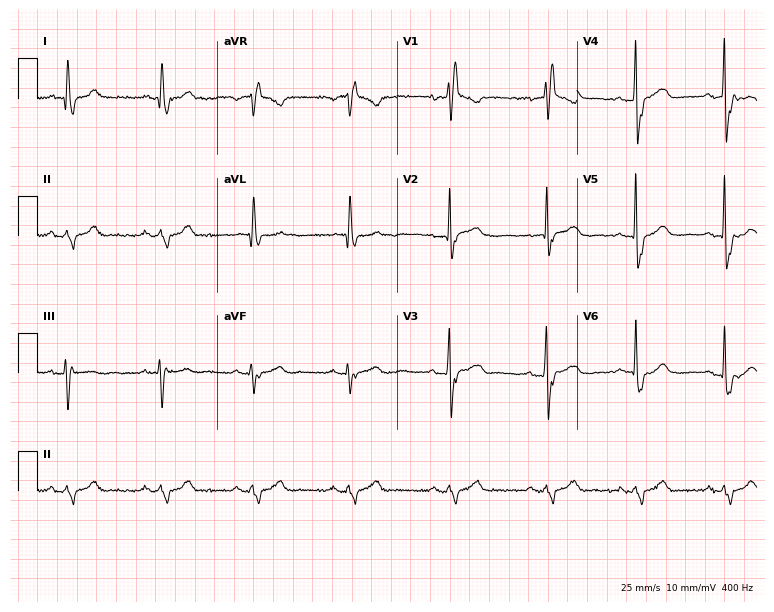
12-lead ECG from a male, 64 years old. Findings include right bundle branch block (RBBB).